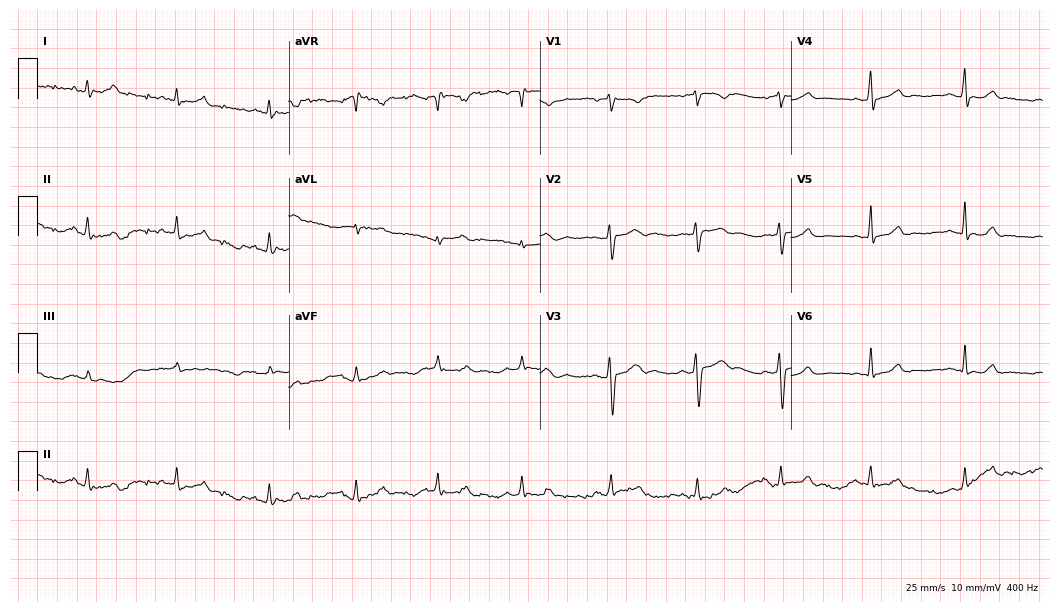
Resting 12-lead electrocardiogram. Patient: a 28-year-old woman. Read as a normal ECG.